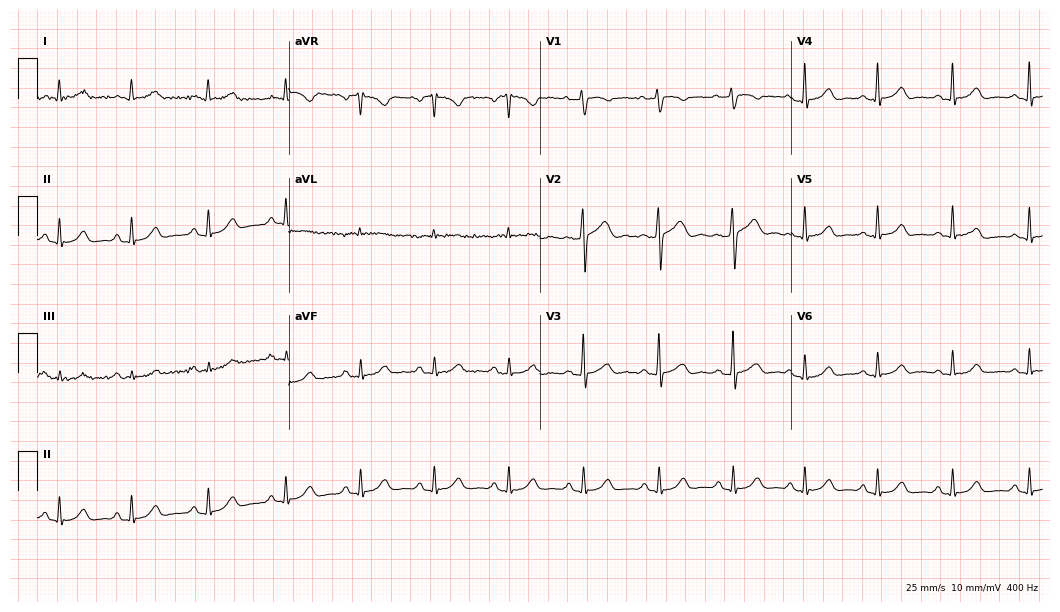
ECG (10.2-second recording at 400 Hz) — a 36-year-old woman. Labelled as a normal ECG.